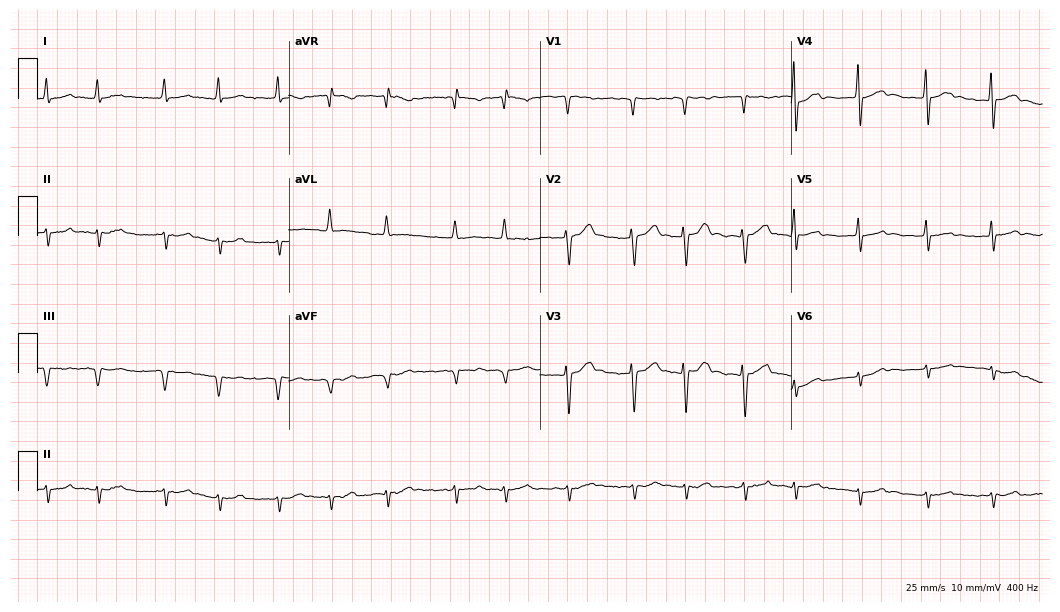
12-lead ECG (10.2-second recording at 400 Hz) from a male patient, 80 years old. Findings include atrial fibrillation (AF).